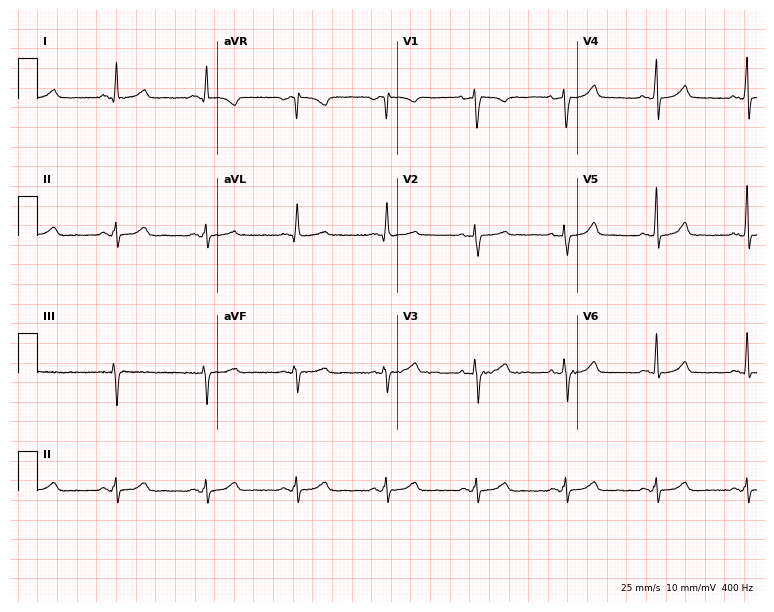
Resting 12-lead electrocardiogram. Patient: a 49-year-old female. Read as a normal ECG.